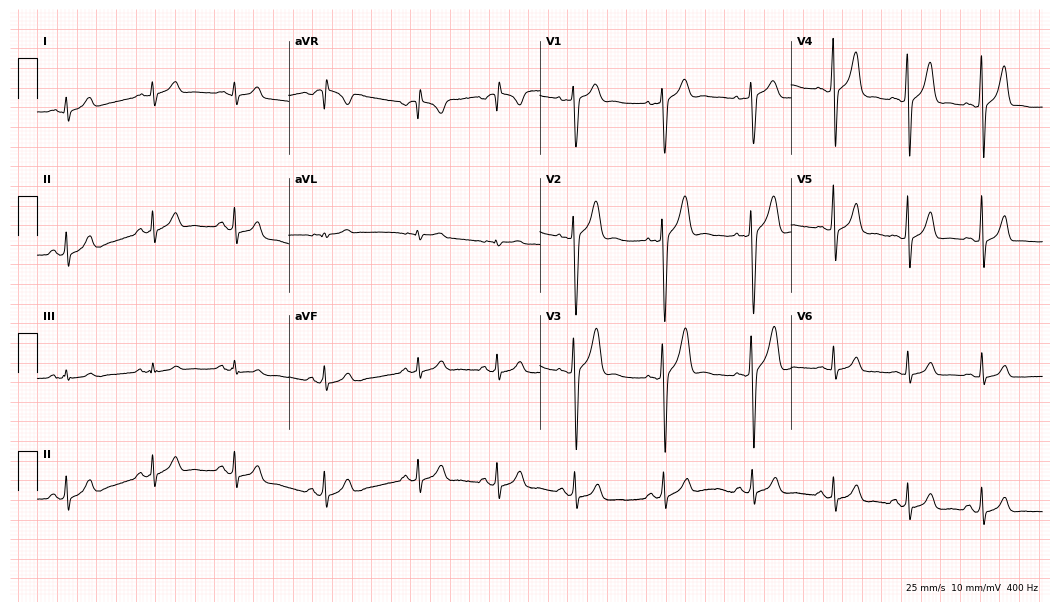
Electrocardiogram (10.2-second recording at 400 Hz), a 20-year-old male patient. Of the six screened findings (first-degree AV block, right bundle branch block (RBBB), left bundle branch block (LBBB), sinus bradycardia, atrial fibrillation (AF), sinus tachycardia), none is recorded. Only these six findings were labelled.